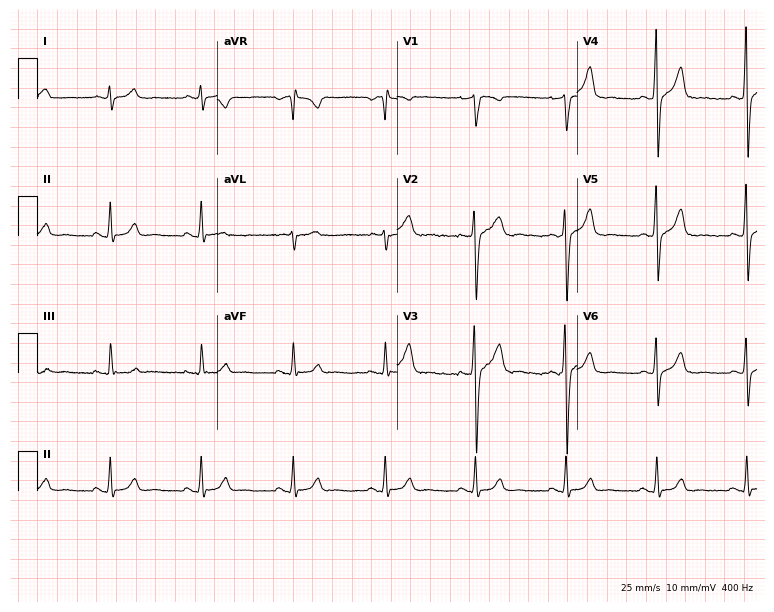
Electrocardiogram, a male, 42 years old. Overall reading on record: normal ECG.